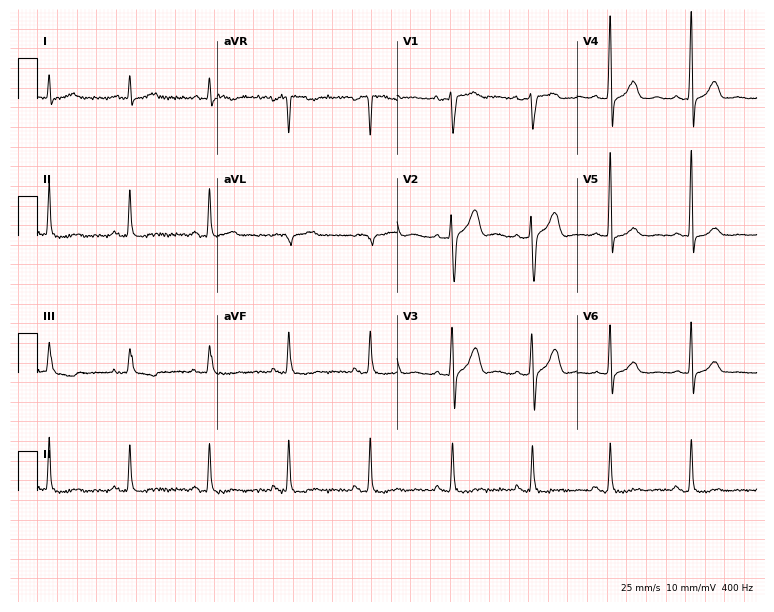
Standard 12-lead ECG recorded from a 67-year-old male patient. None of these six findings is recorded: first-degree AV block, right bundle branch block, left bundle branch block, sinus bradycardia, atrial fibrillation, sinus tachycardia. Other findings, if any, are not listed.